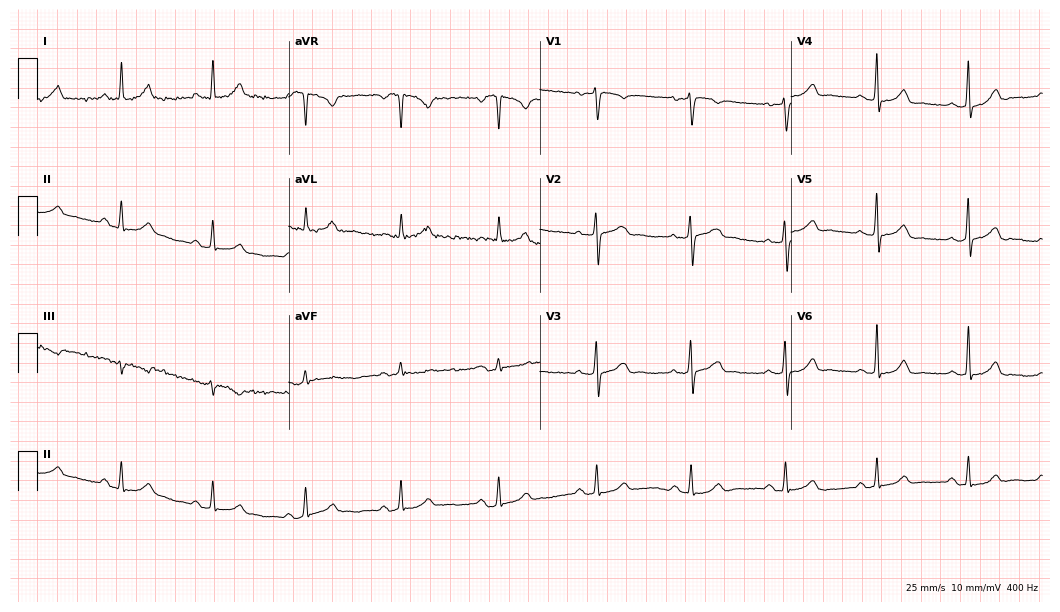
Standard 12-lead ECG recorded from a female patient, 54 years old (10.2-second recording at 400 Hz). Read as a normal ECG.